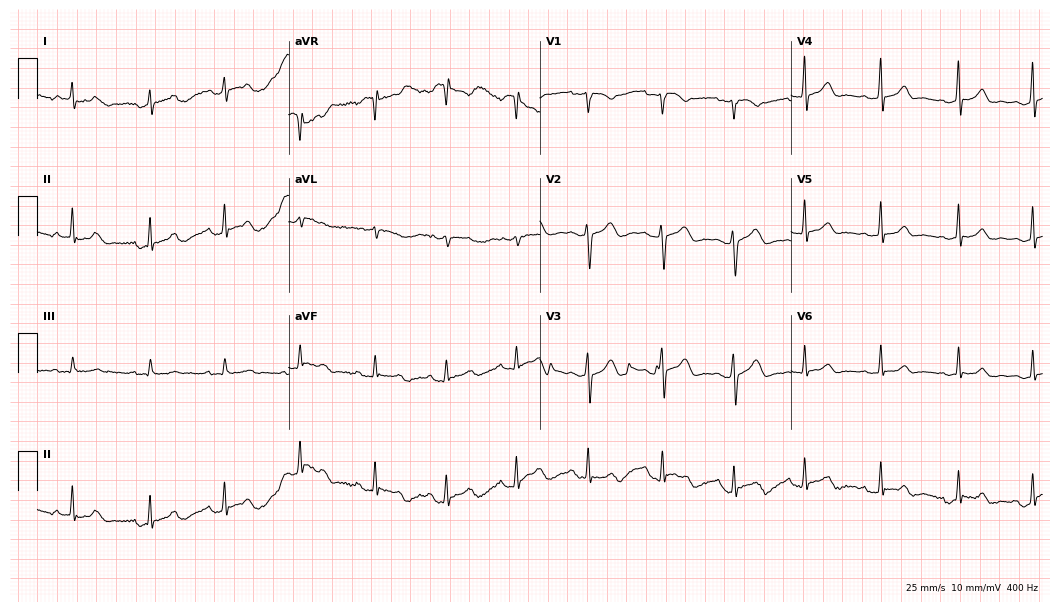
12-lead ECG from a female patient, 19 years old. No first-degree AV block, right bundle branch block (RBBB), left bundle branch block (LBBB), sinus bradycardia, atrial fibrillation (AF) or sinus tachycardia recorded for this tracing.